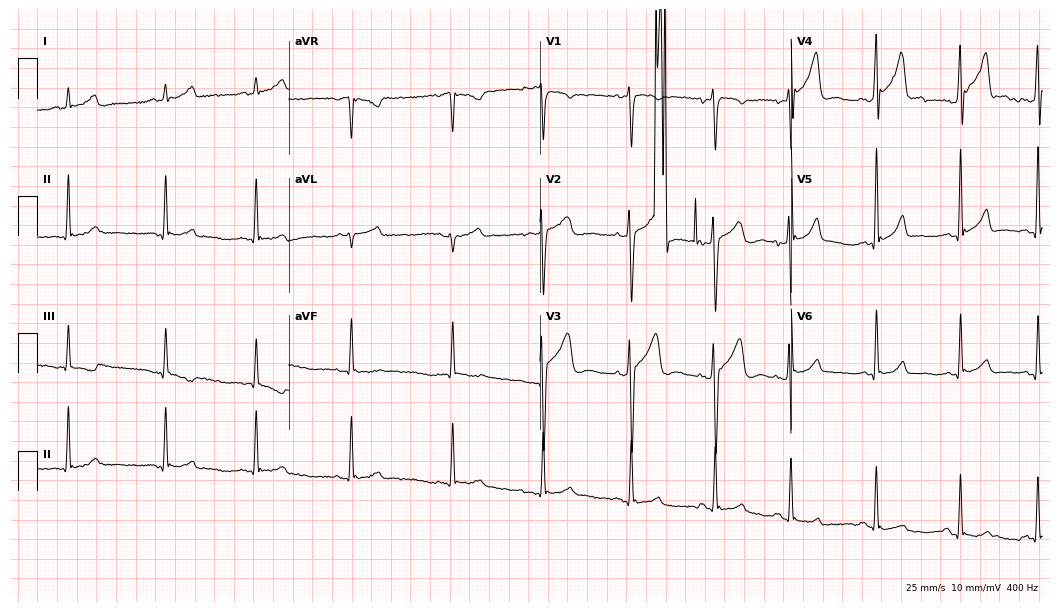
Standard 12-lead ECG recorded from a man, 26 years old (10.2-second recording at 400 Hz). Read as a normal ECG.